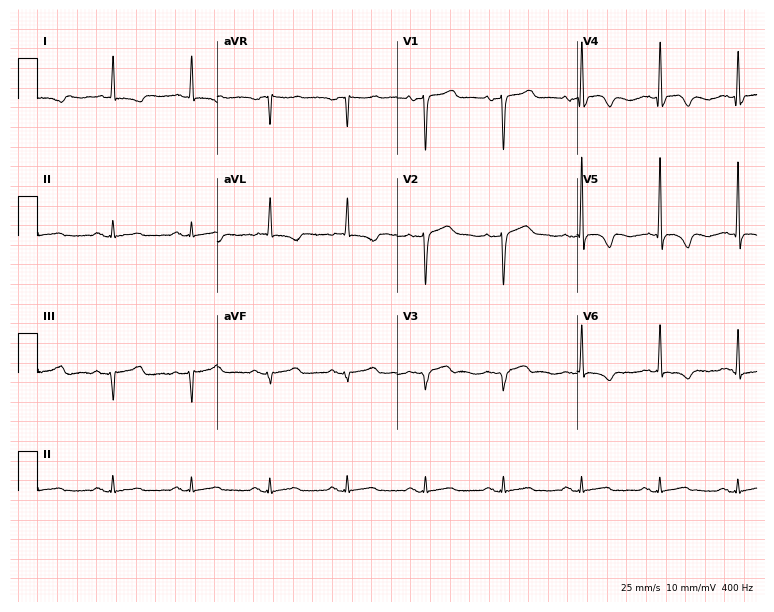
ECG (7.3-second recording at 400 Hz) — a female, 71 years old. Screened for six findings — first-degree AV block, right bundle branch block, left bundle branch block, sinus bradycardia, atrial fibrillation, sinus tachycardia — none is recorded.